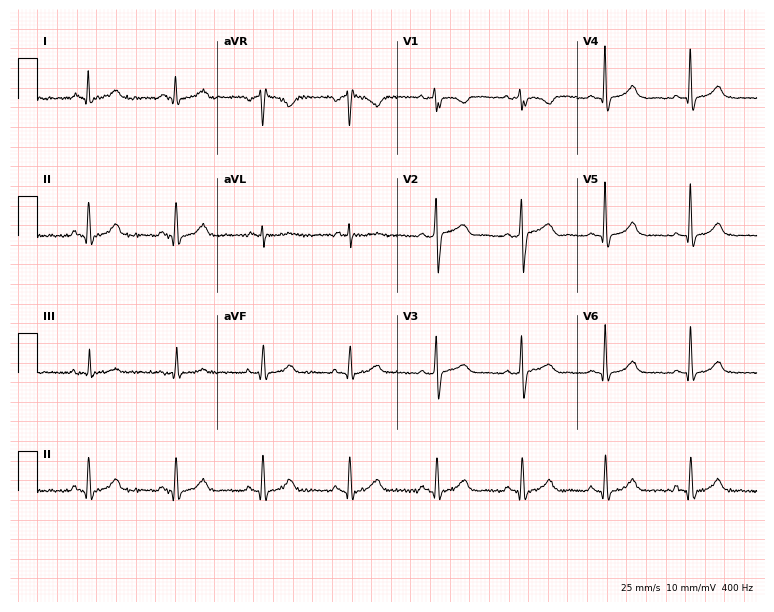
Resting 12-lead electrocardiogram. Patient: a female, 41 years old. None of these six findings is recorded: first-degree AV block, right bundle branch block, left bundle branch block, sinus bradycardia, atrial fibrillation, sinus tachycardia.